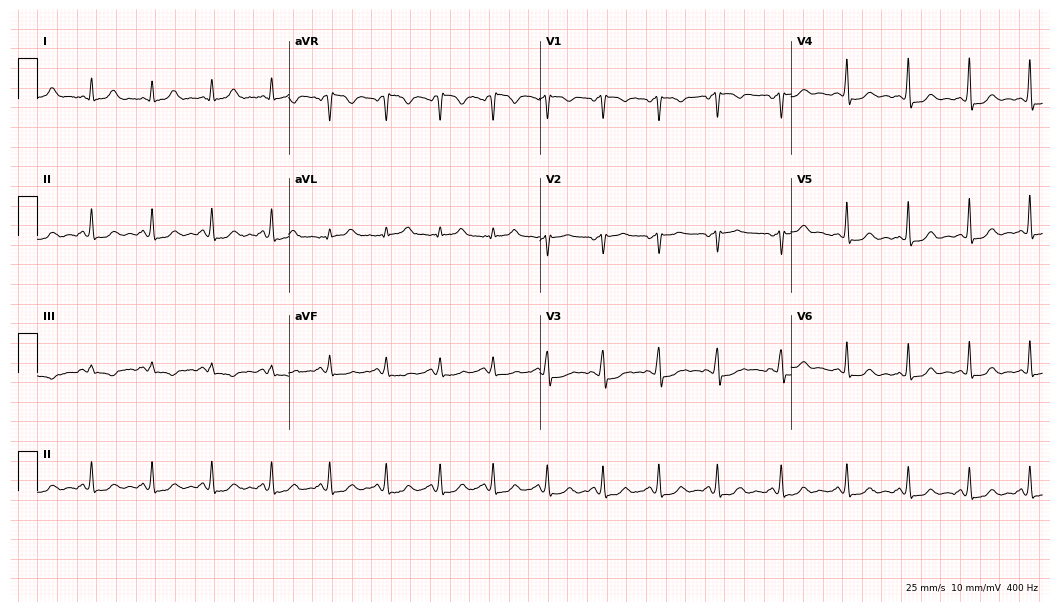
Resting 12-lead electrocardiogram. Patient: a female, 40 years old. Read as a normal ECG.